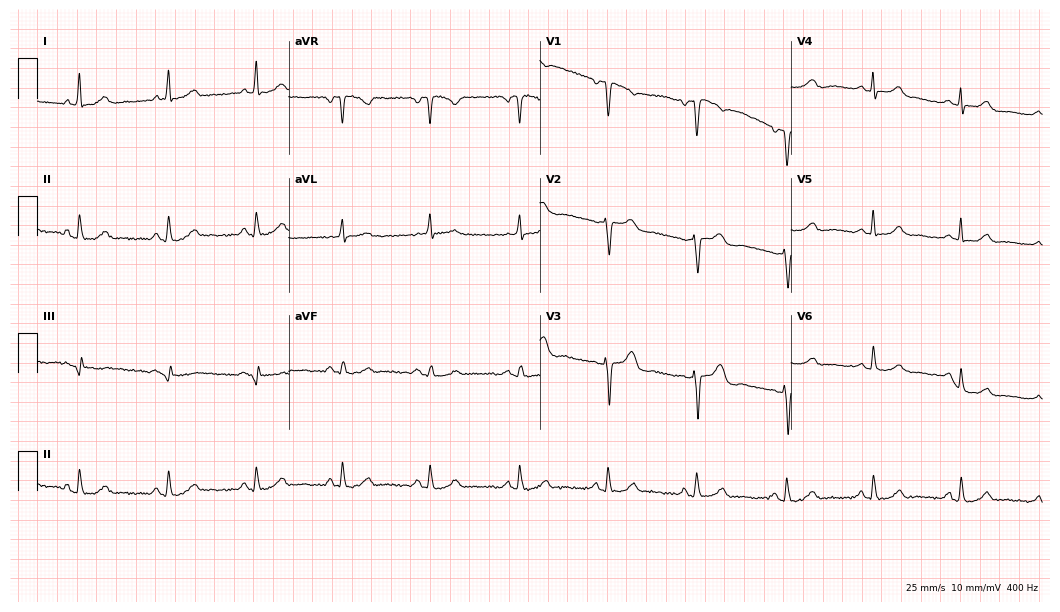
ECG — a female patient, 58 years old. Labelled as a normal ECG.